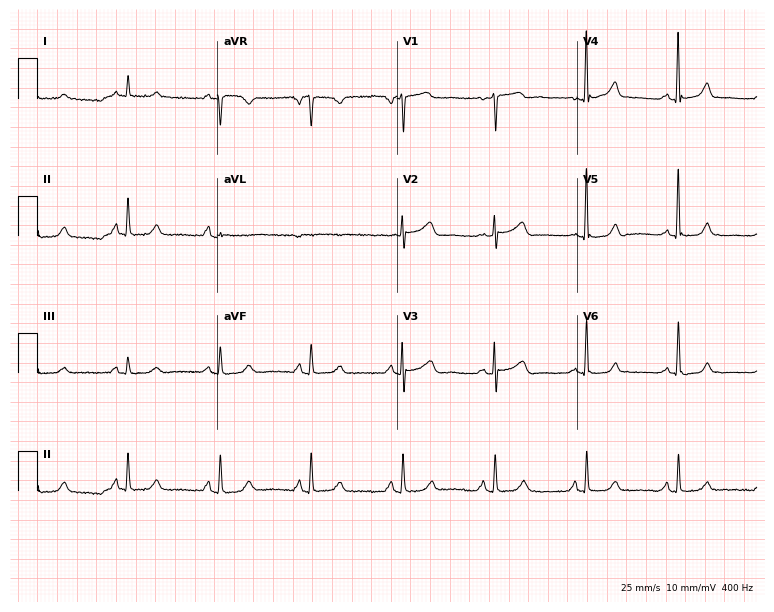
ECG — a female, 78 years old. Labelled as a normal ECG.